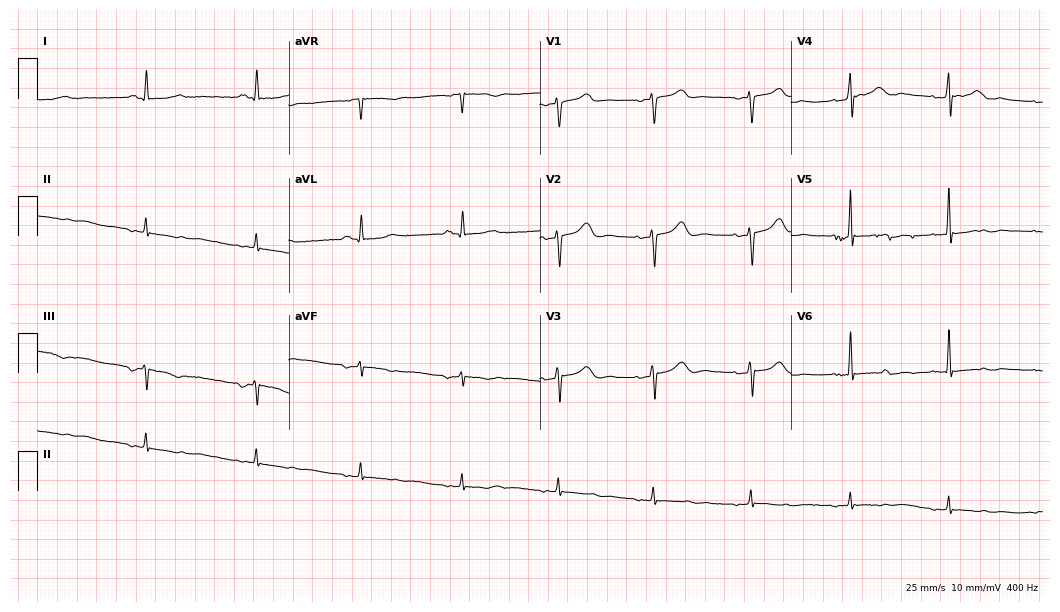
Electrocardiogram (10.2-second recording at 400 Hz), a woman, 54 years old. Of the six screened findings (first-degree AV block, right bundle branch block, left bundle branch block, sinus bradycardia, atrial fibrillation, sinus tachycardia), none is recorded. Findings outside these six are not listed.